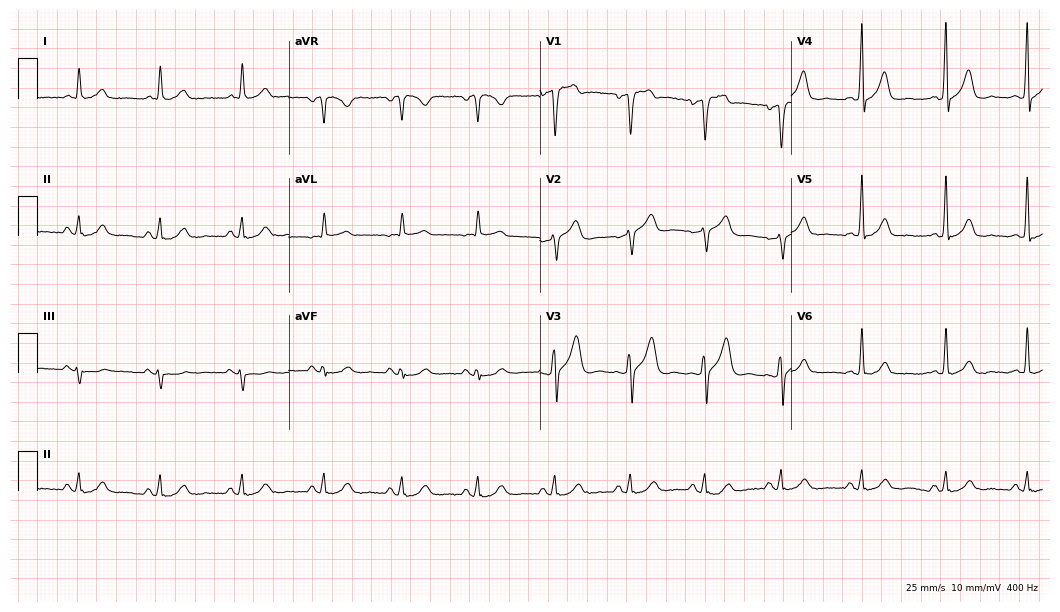
Resting 12-lead electrocardiogram (10.2-second recording at 400 Hz). Patient: a man, 57 years old. Read as a normal ECG.